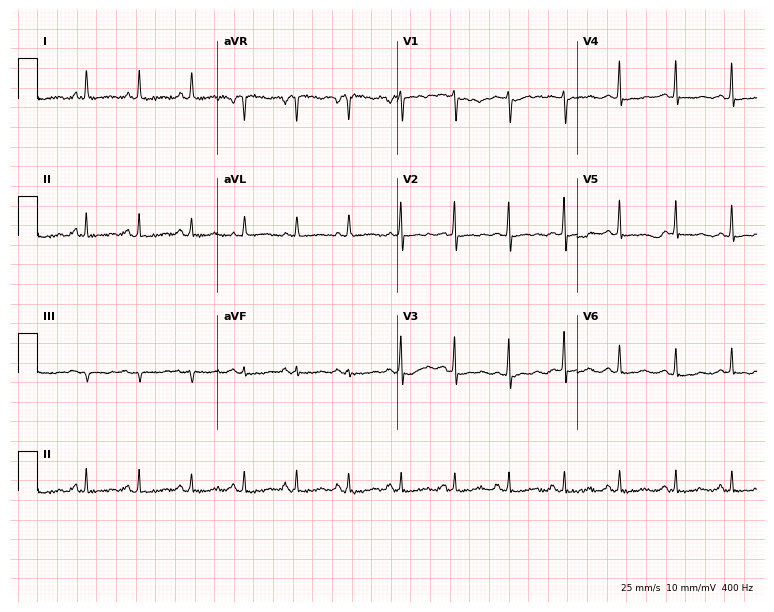
Electrocardiogram (7.3-second recording at 400 Hz), a female patient, 48 years old. Interpretation includes sinus tachycardia (a sinus rate of 100 beats per minute or more).